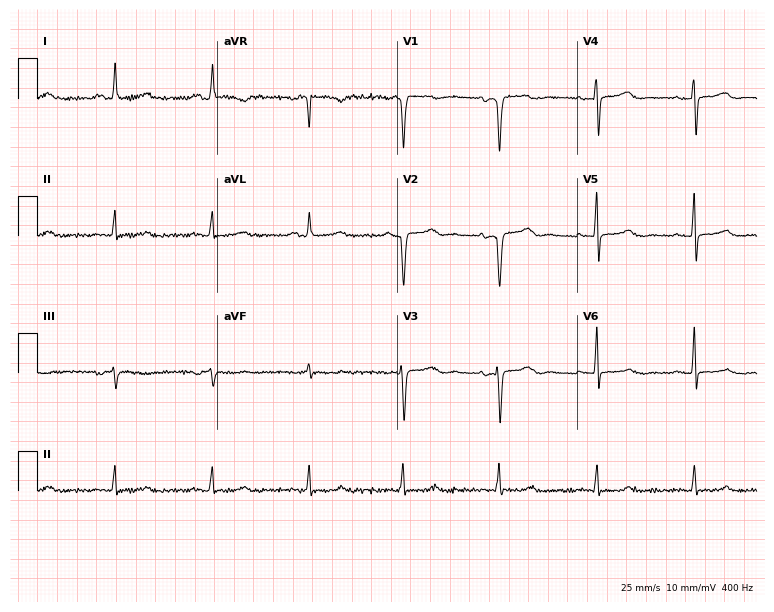
Resting 12-lead electrocardiogram. Patient: a female, 60 years old. None of these six findings is recorded: first-degree AV block, right bundle branch block, left bundle branch block, sinus bradycardia, atrial fibrillation, sinus tachycardia. Only these six findings were labelled.